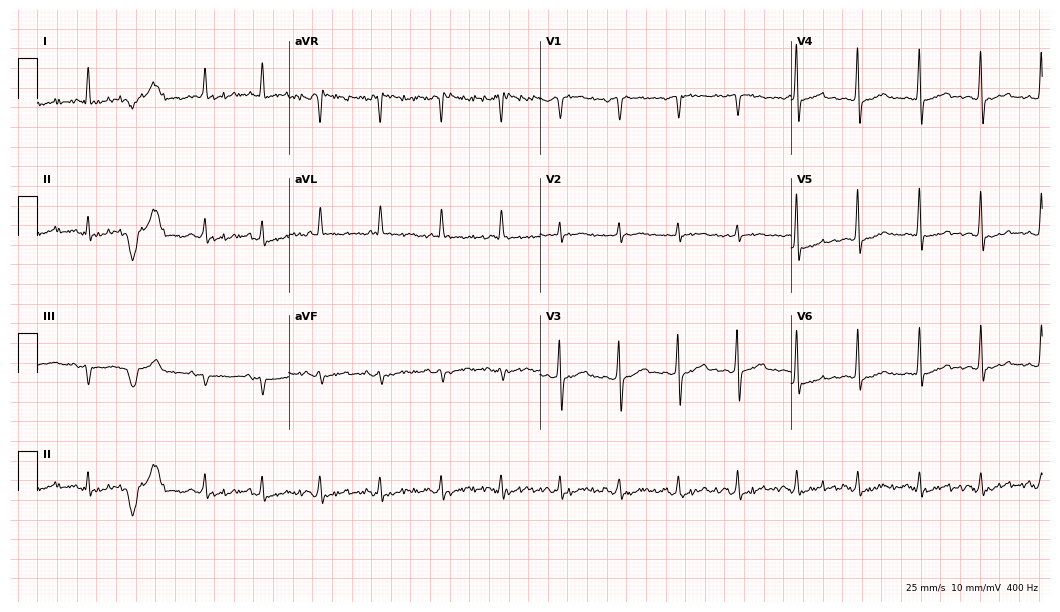
ECG (10.2-second recording at 400 Hz) — a male, 69 years old. Screened for six findings — first-degree AV block, right bundle branch block, left bundle branch block, sinus bradycardia, atrial fibrillation, sinus tachycardia — none is recorded. Findings outside these six are not listed.